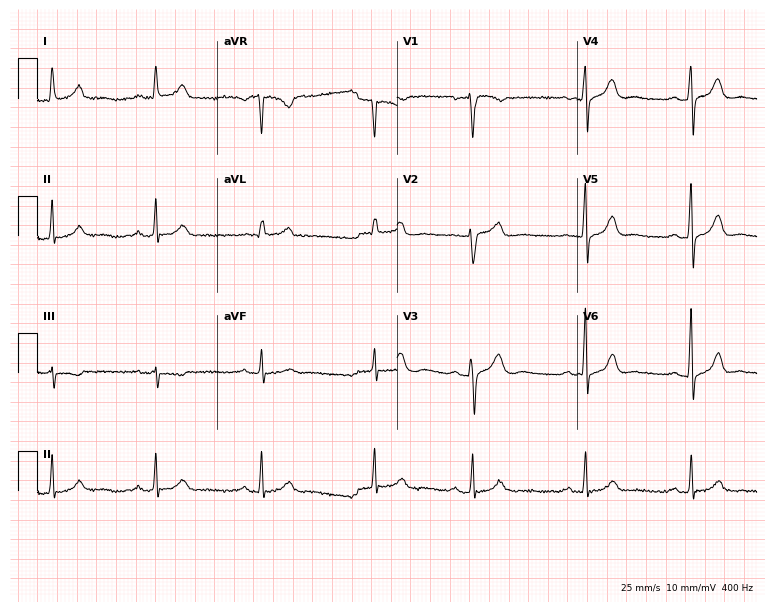
Electrocardiogram, a 37-year-old woman. Of the six screened findings (first-degree AV block, right bundle branch block, left bundle branch block, sinus bradycardia, atrial fibrillation, sinus tachycardia), none is recorded. Only these six findings were labelled.